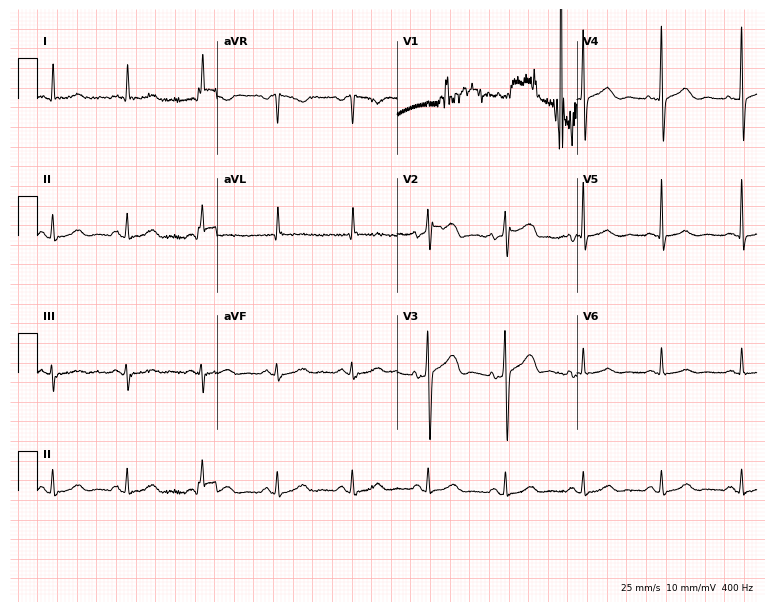
Standard 12-lead ECG recorded from a female, 59 years old. None of these six findings is recorded: first-degree AV block, right bundle branch block (RBBB), left bundle branch block (LBBB), sinus bradycardia, atrial fibrillation (AF), sinus tachycardia. Only these six findings were labelled.